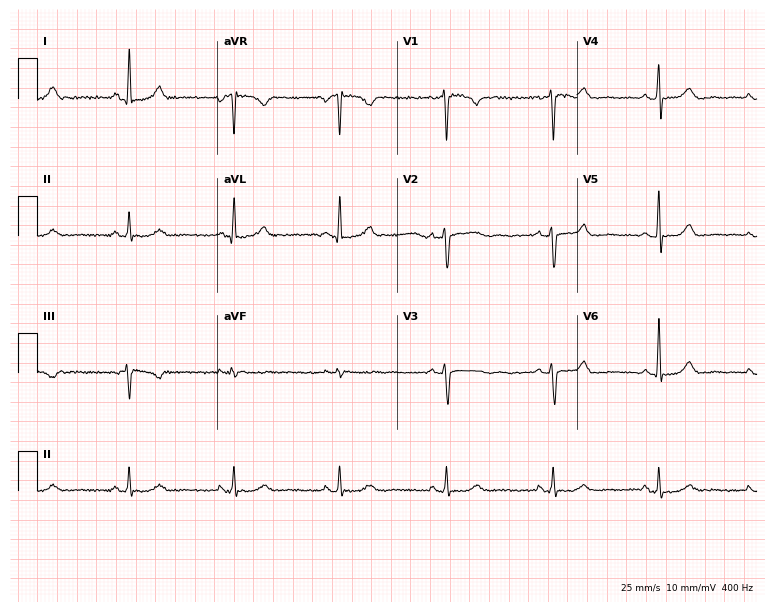
Electrocardiogram, a woman, 50 years old. Of the six screened findings (first-degree AV block, right bundle branch block (RBBB), left bundle branch block (LBBB), sinus bradycardia, atrial fibrillation (AF), sinus tachycardia), none is recorded.